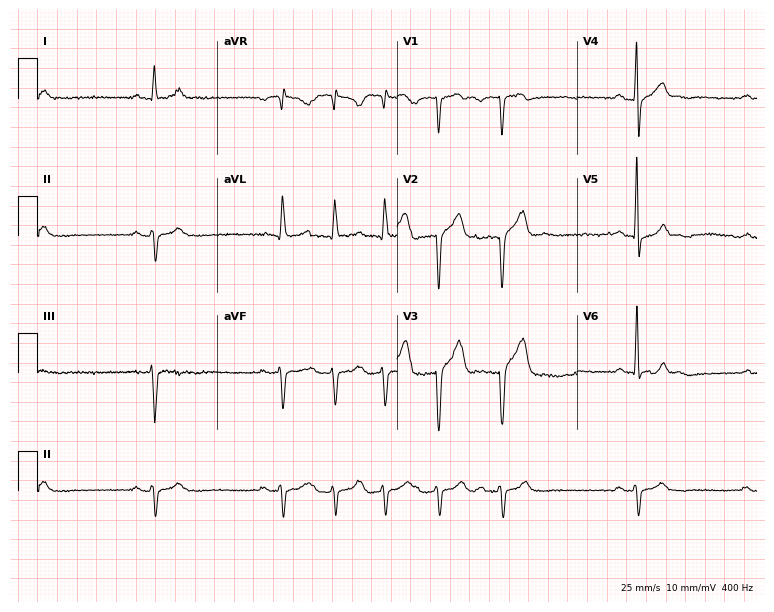
12-lead ECG from a 65-year-old man (7.3-second recording at 400 Hz). No first-degree AV block, right bundle branch block (RBBB), left bundle branch block (LBBB), sinus bradycardia, atrial fibrillation (AF) or sinus tachycardia recorded for this tracing.